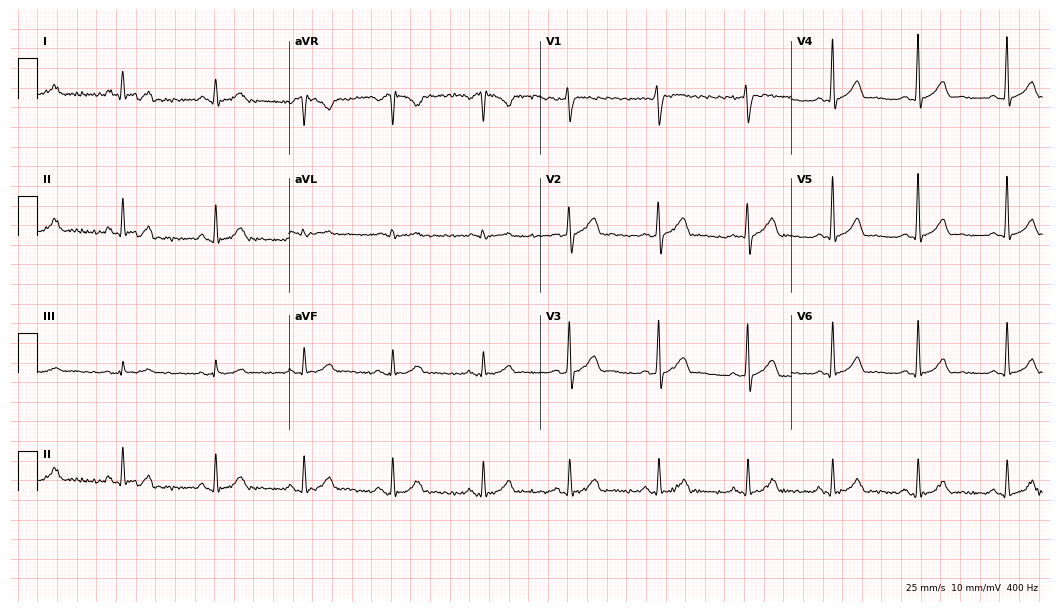
ECG — a male, 45 years old. Labelled as a normal ECG.